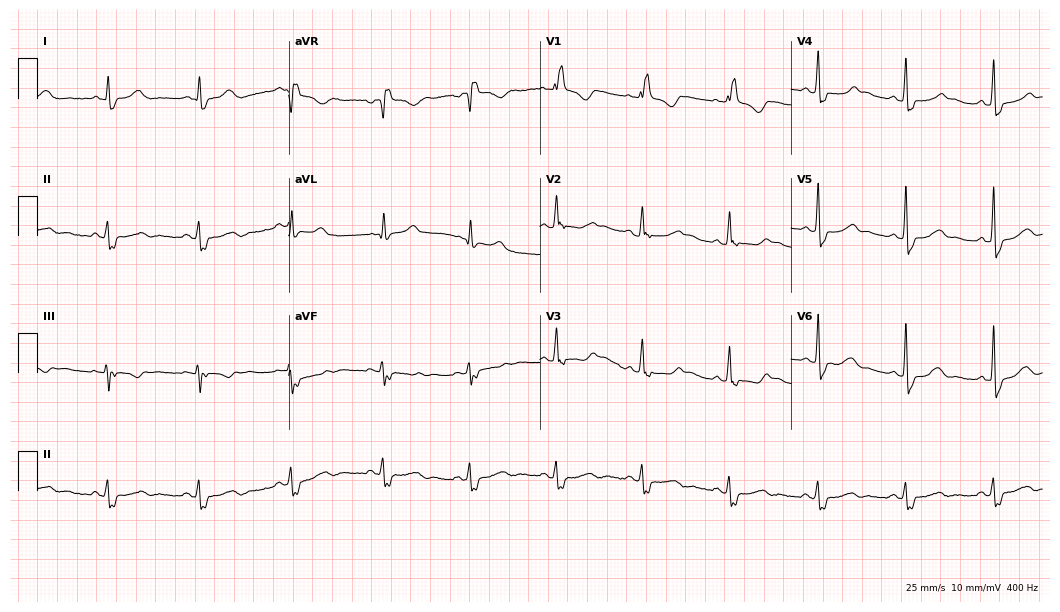
ECG — a 49-year-old woman. Findings include right bundle branch block (RBBB).